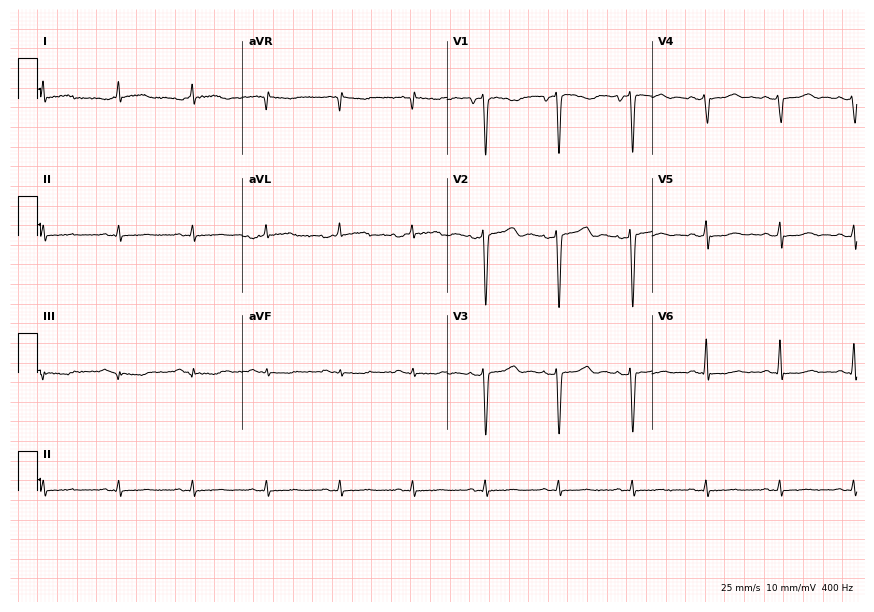
Resting 12-lead electrocardiogram. Patient: a woman, 54 years old. None of these six findings is recorded: first-degree AV block, right bundle branch block, left bundle branch block, sinus bradycardia, atrial fibrillation, sinus tachycardia. Only these six findings were labelled.